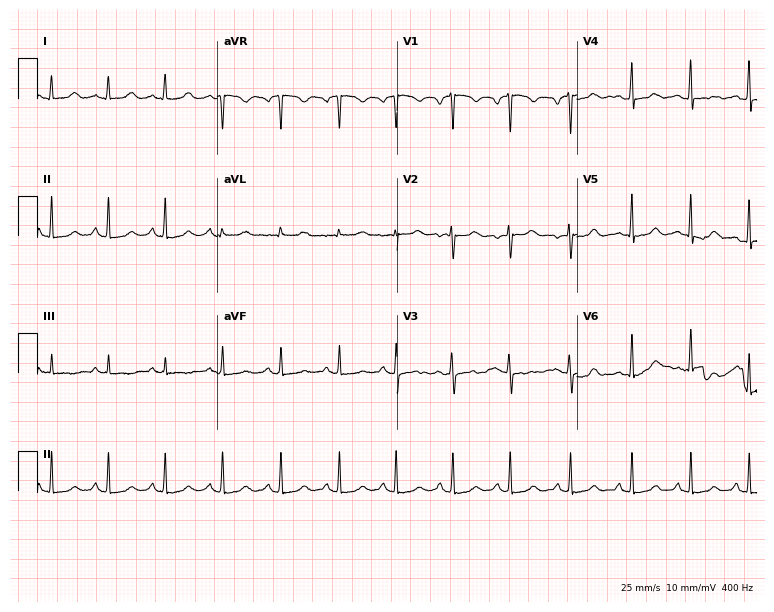
Resting 12-lead electrocardiogram (7.3-second recording at 400 Hz). Patient: a woman, 29 years old. None of these six findings is recorded: first-degree AV block, right bundle branch block, left bundle branch block, sinus bradycardia, atrial fibrillation, sinus tachycardia. Other findings, if any, are not listed.